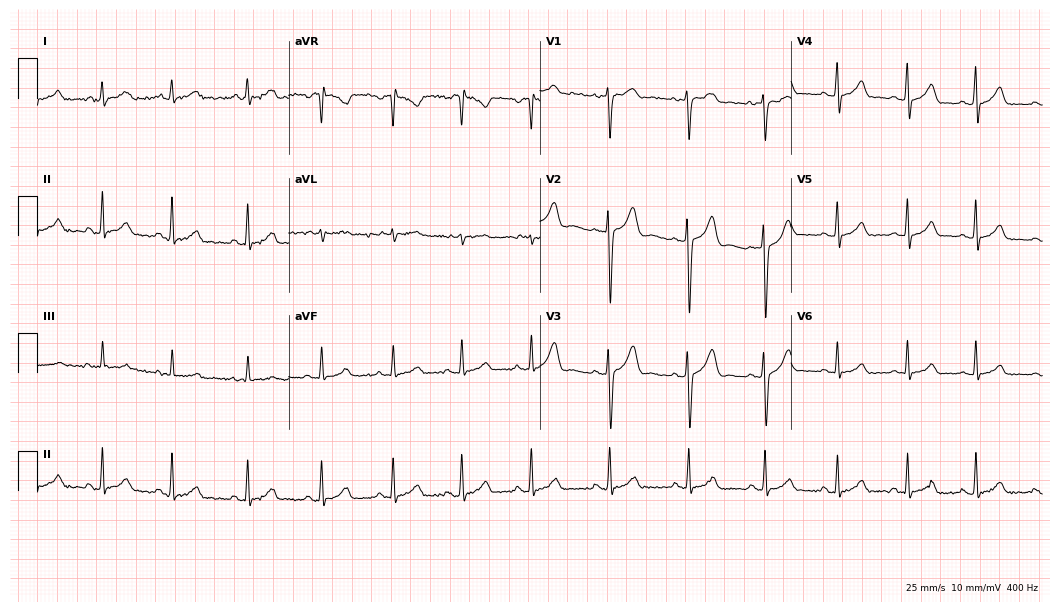
Resting 12-lead electrocardiogram (10.2-second recording at 400 Hz). Patient: a woman, 23 years old. Read as a normal ECG.